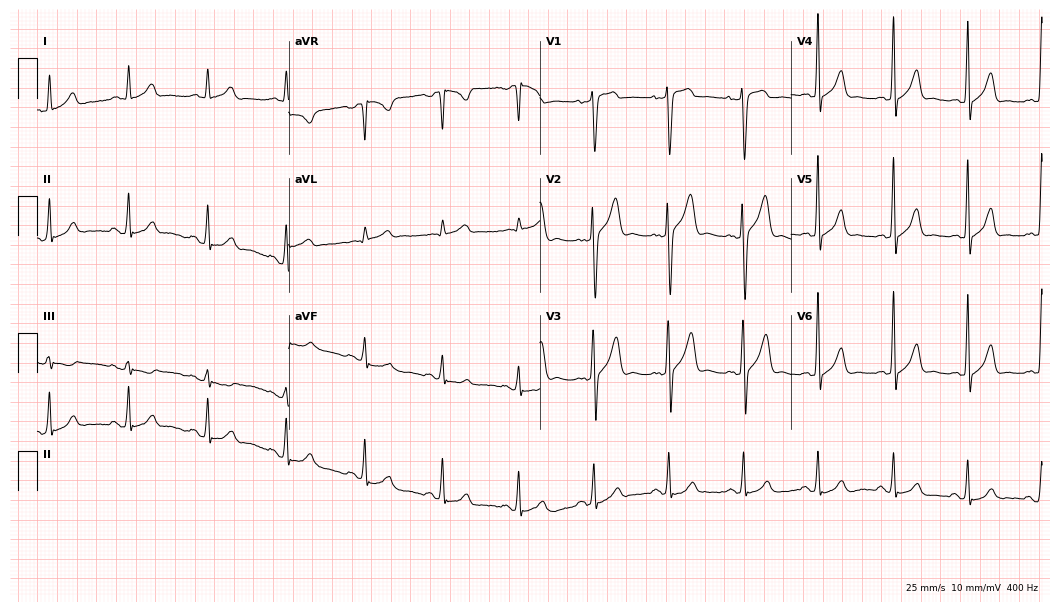
Standard 12-lead ECG recorded from a man, 35 years old. None of these six findings is recorded: first-degree AV block, right bundle branch block (RBBB), left bundle branch block (LBBB), sinus bradycardia, atrial fibrillation (AF), sinus tachycardia.